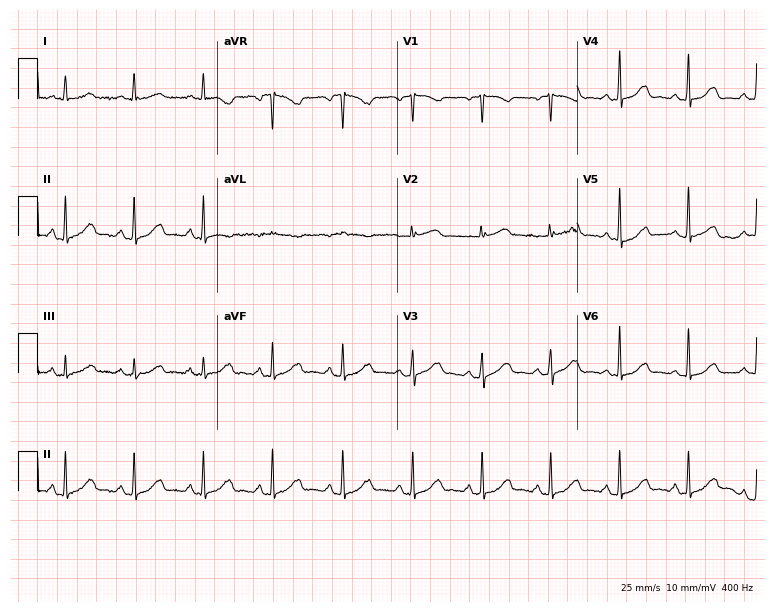
12-lead ECG from a 55-year-old female (7.3-second recording at 400 Hz). Recorded interpretation: within normal limits.